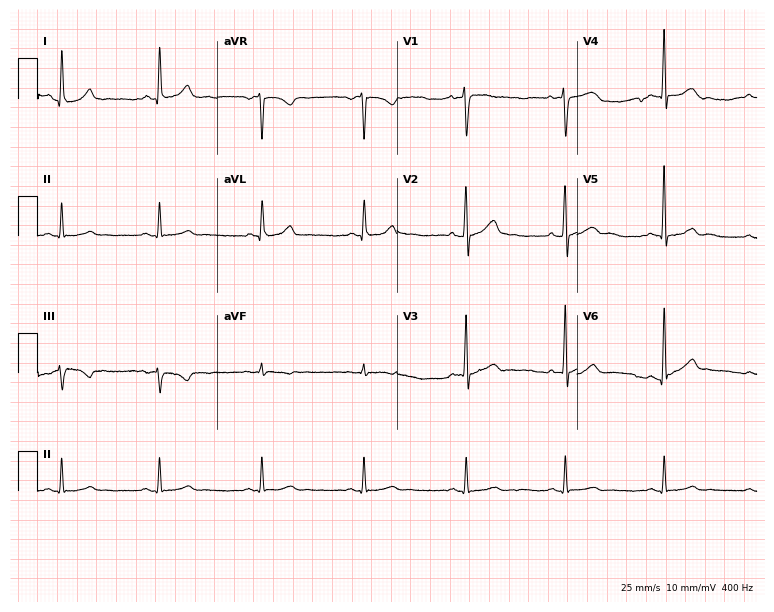
12-lead ECG from a 63-year-old man (7.3-second recording at 400 Hz). No first-degree AV block, right bundle branch block (RBBB), left bundle branch block (LBBB), sinus bradycardia, atrial fibrillation (AF) or sinus tachycardia recorded for this tracing. Findings outside these six are not listed.